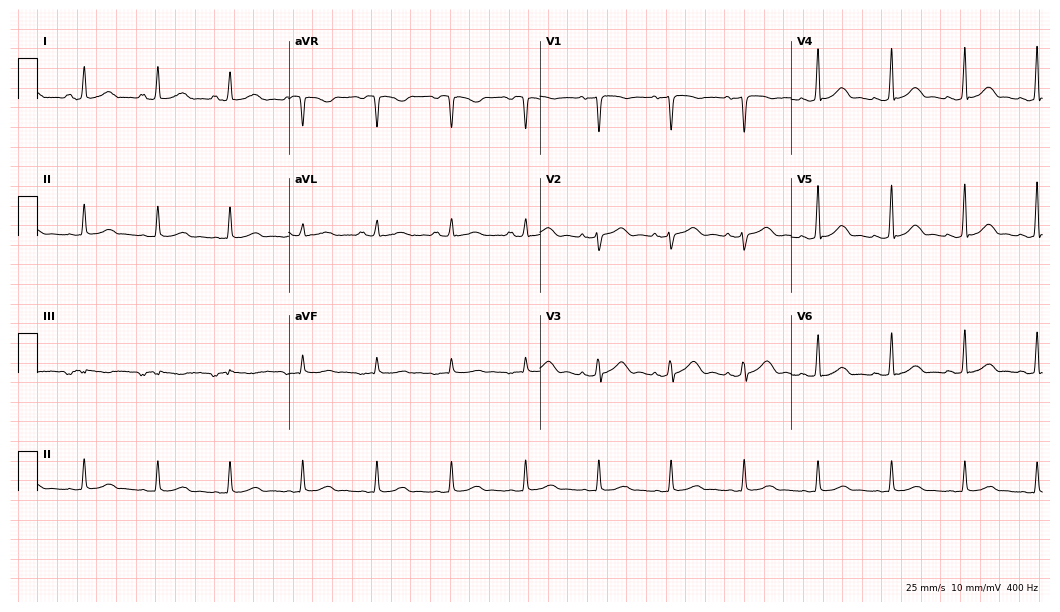
12-lead ECG from a 43-year-old female patient. Labelled as a normal ECG.